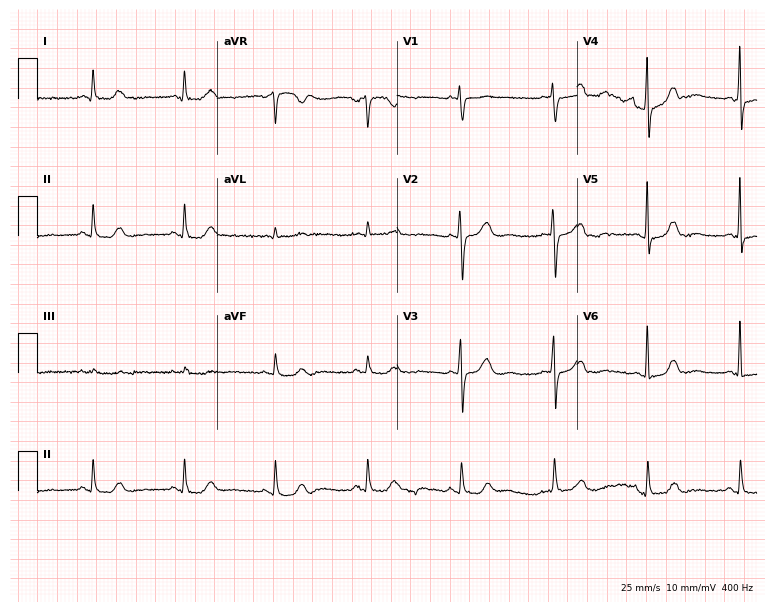
Resting 12-lead electrocardiogram. Patient: a female, 69 years old. Read as a normal ECG.